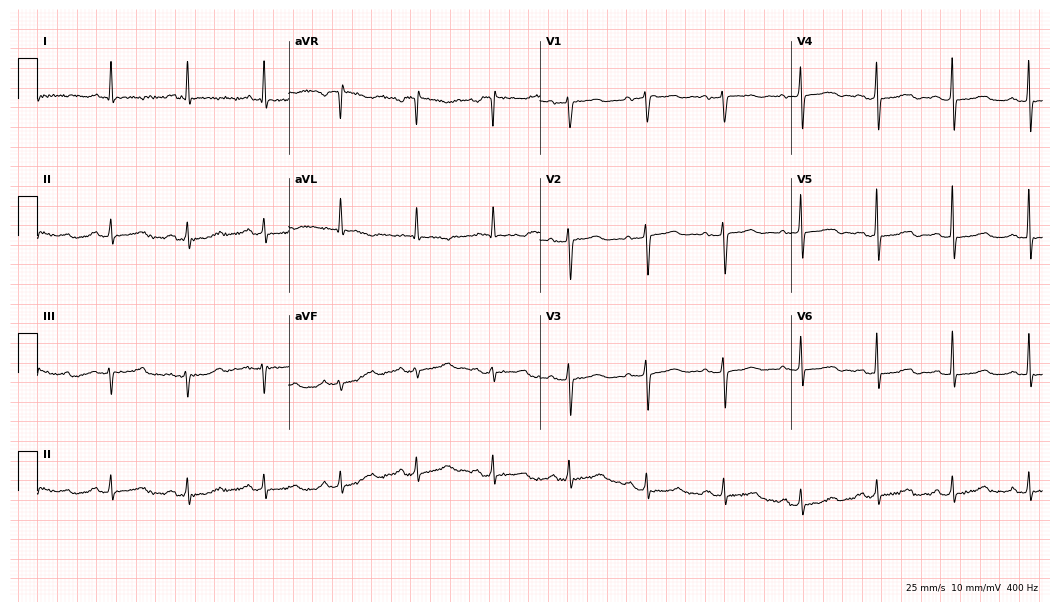
Standard 12-lead ECG recorded from a female patient, 75 years old. Read as a normal ECG.